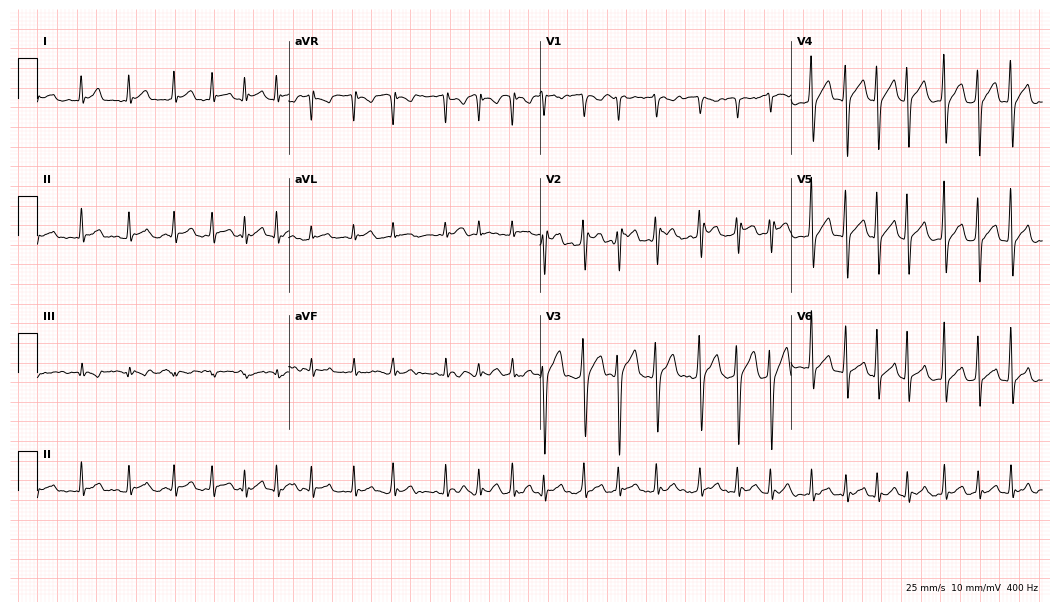
Resting 12-lead electrocardiogram (10.2-second recording at 400 Hz). Patient: a 50-year-old male. The tracing shows atrial fibrillation (AF), sinus tachycardia (a sinus rate of 100 beats per minute or more).